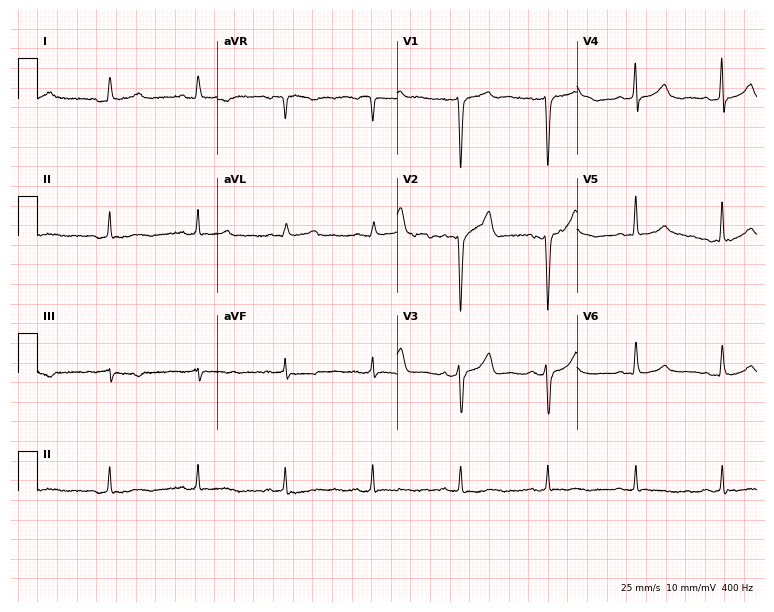
Standard 12-lead ECG recorded from a male patient, 67 years old. Read as a normal ECG.